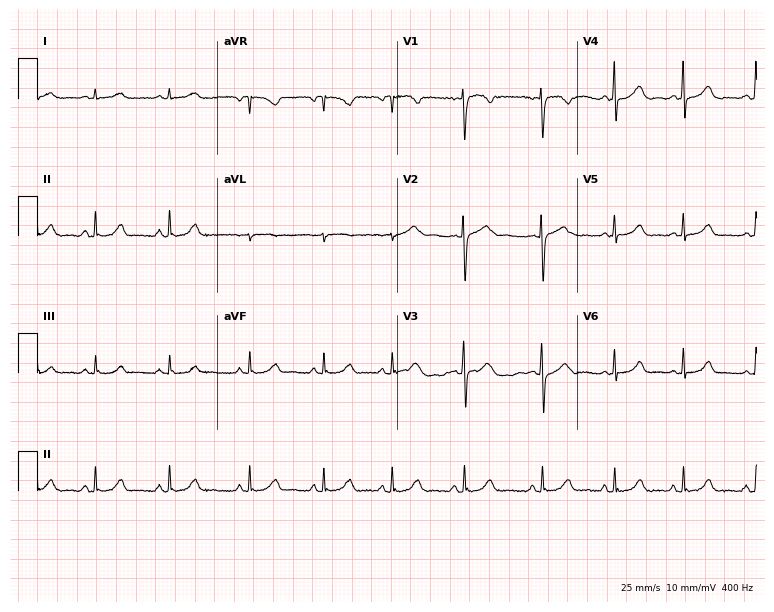
Standard 12-lead ECG recorded from a 34-year-old female (7.3-second recording at 400 Hz). None of these six findings is recorded: first-degree AV block, right bundle branch block, left bundle branch block, sinus bradycardia, atrial fibrillation, sinus tachycardia. Only these six findings were labelled.